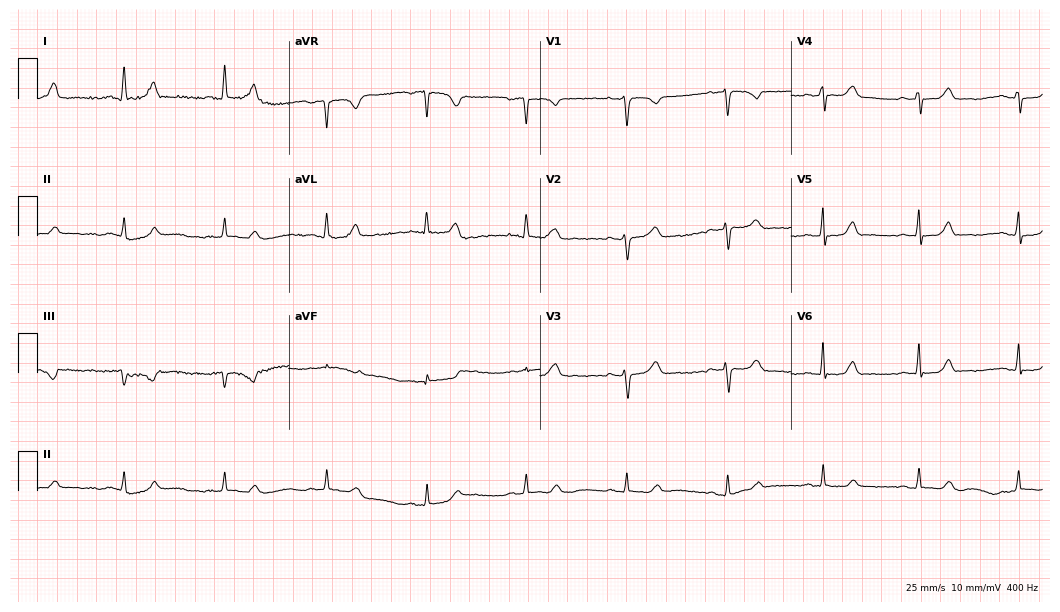
ECG (10.2-second recording at 400 Hz) — a 37-year-old female. Labelled as a normal ECG.